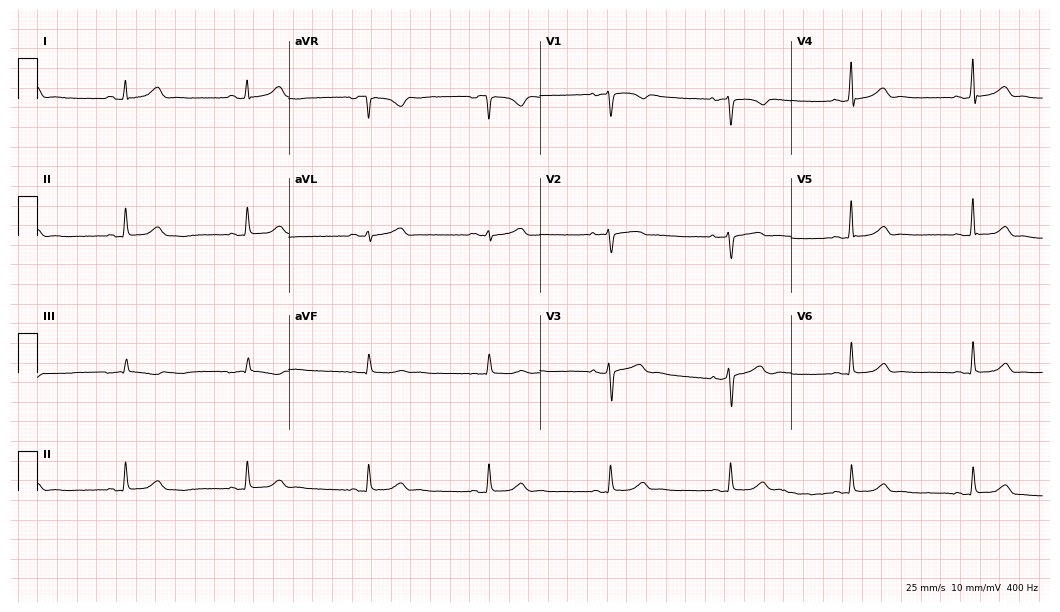
12-lead ECG from a 41-year-old female. Shows sinus bradycardia (a sinus rate of 50 beats per minute or less).